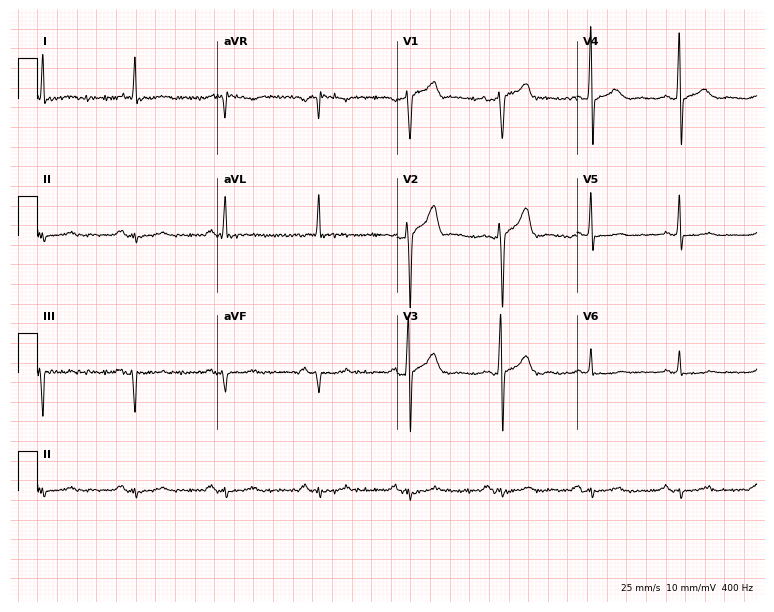
Standard 12-lead ECG recorded from a man, 79 years old. None of these six findings is recorded: first-degree AV block, right bundle branch block, left bundle branch block, sinus bradycardia, atrial fibrillation, sinus tachycardia.